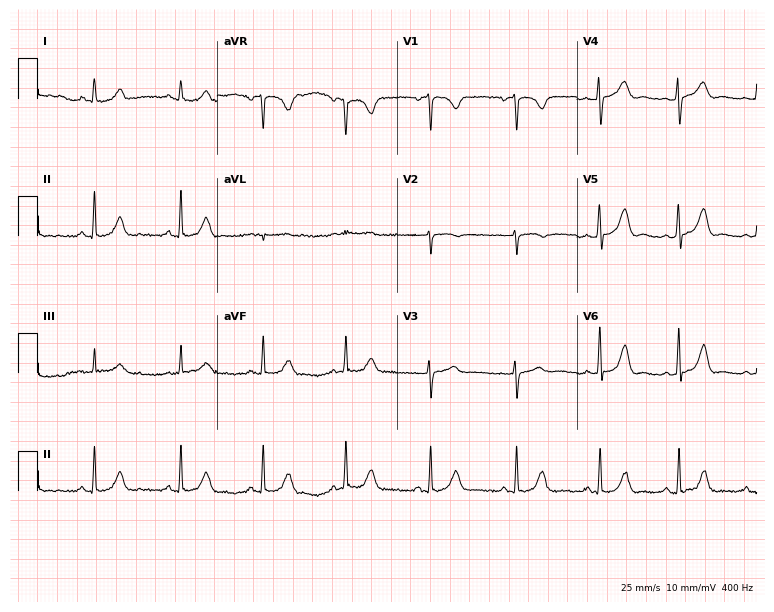
12-lead ECG from a female, 36 years old (7.3-second recording at 400 Hz). Recorded interpretation: within normal limits.